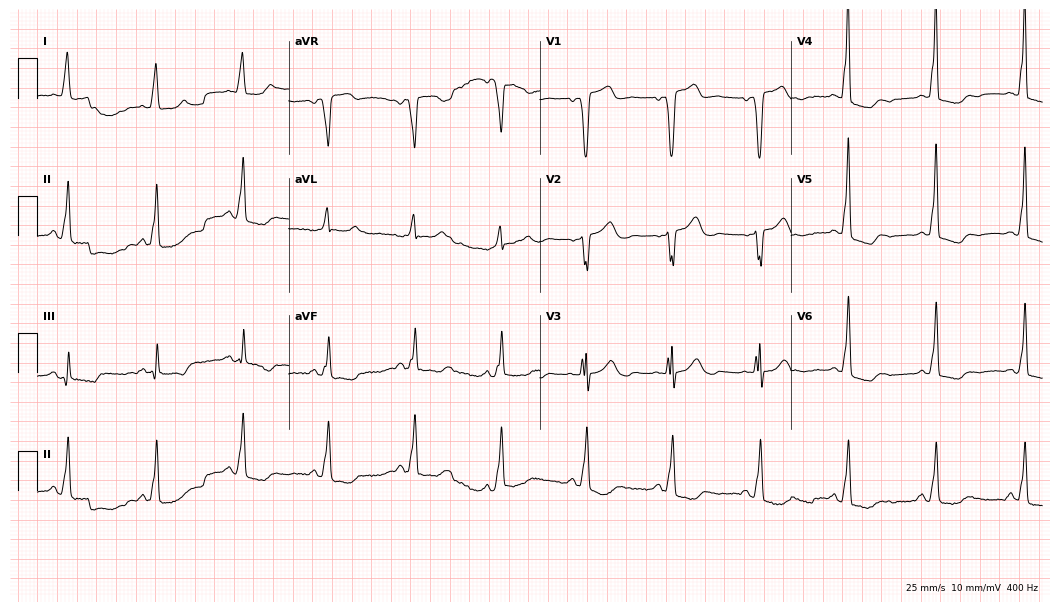
12-lead ECG from a female, 76 years old. Screened for six findings — first-degree AV block, right bundle branch block (RBBB), left bundle branch block (LBBB), sinus bradycardia, atrial fibrillation (AF), sinus tachycardia — none is recorded. Only these six findings were labelled.